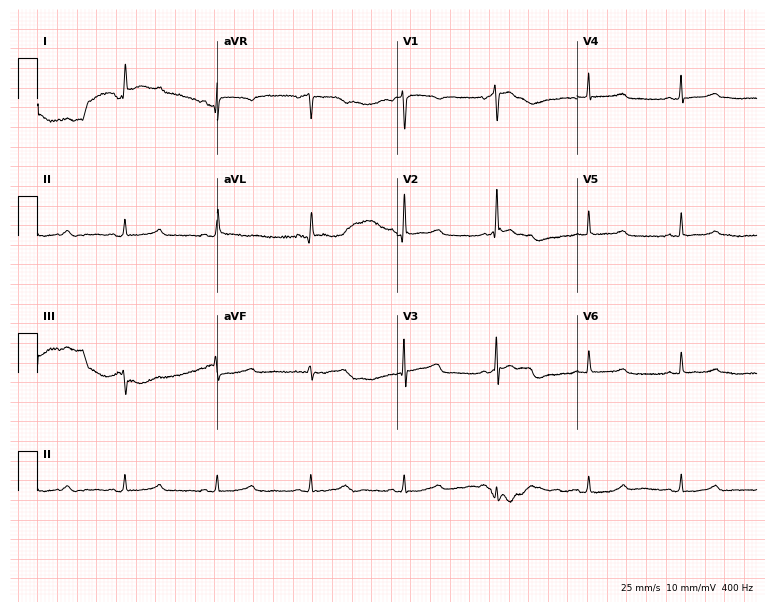
Electrocardiogram, a woman, 71 years old. Of the six screened findings (first-degree AV block, right bundle branch block, left bundle branch block, sinus bradycardia, atrial fibrillation, sinus tachycardia), none is recorded. Only these six findings were labelled.